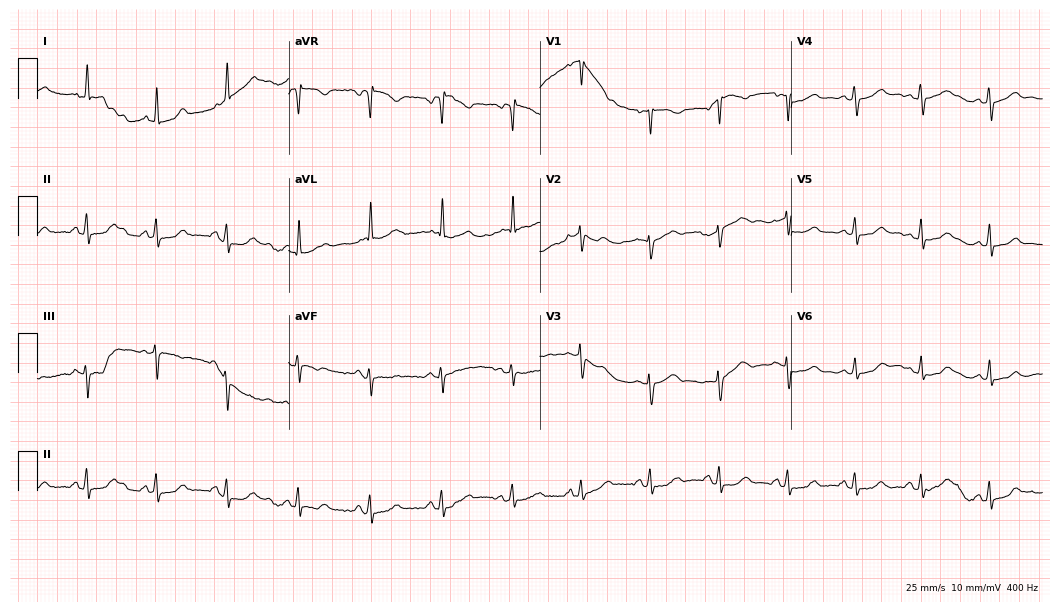
12-lead ECG from a woman, 49 years old. Labelled as a normal ECG.